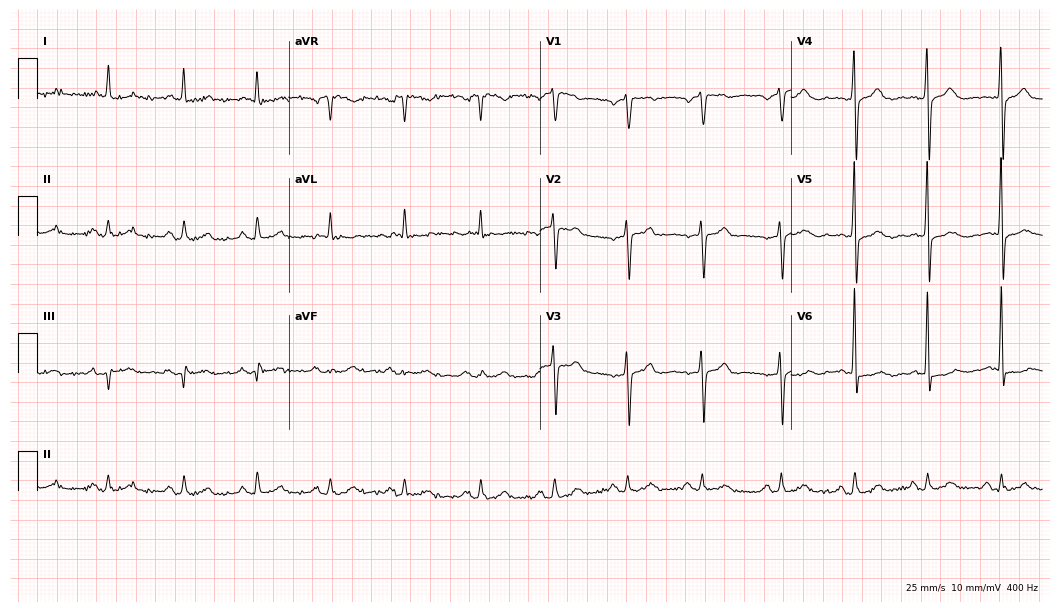
12-lead ECG from a 77-year-old male patient (10.2-second recording at 400 Hz). No first-degree AV block, right bundle branch block (RBBB), left bundle branch block (LBBB), sinus bradycardia, atrial fibrillation (AF) or sinus tachycardia recorded for this tracing. Findings outside these six are not listed.